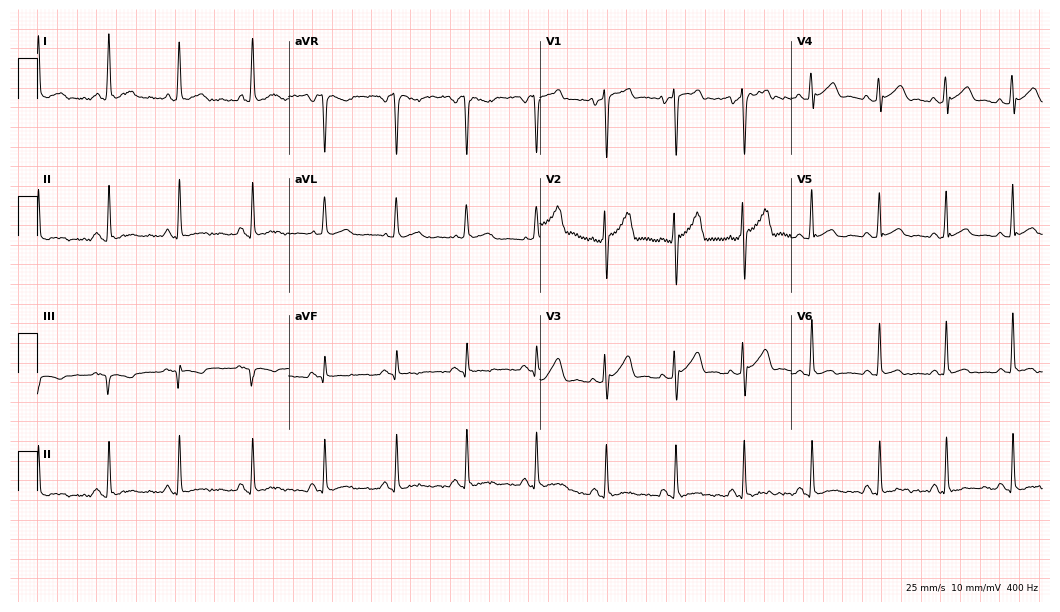
Standard 12-lead ECG recorded from a 36-year-old male patient. None of these six findings is recorded: first-degree AV block, right bundle branch block (RBBB), left bundle branch block (LBBB), sinus bradycardia, atrial fibrillation (AF), sinus tachycardia. Other findings, if any, are not listed.